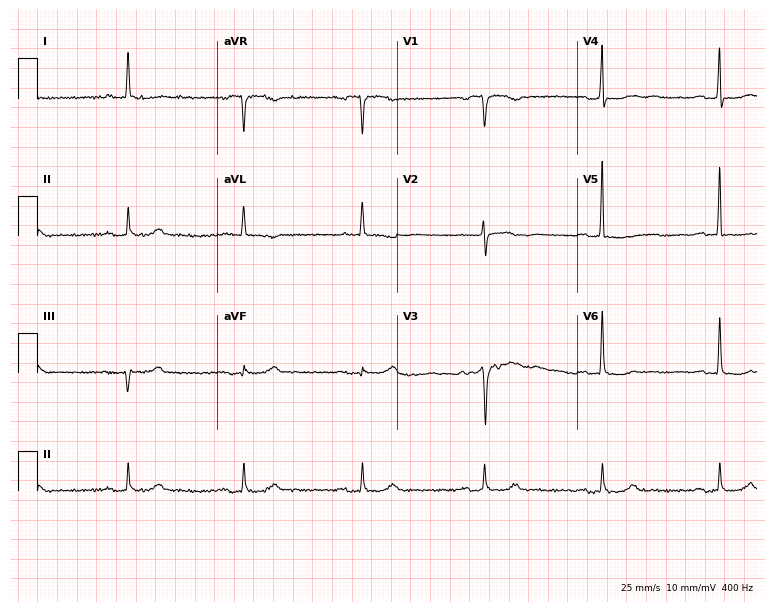
Standard 12-lead ECG recorded from a woman, 77 years old (7.3-second recording at 400 Hz). None of these six findings is recorded: first-degree AV block, right bundle branch block (RBBB), left bundle branch block (LBBB), sinus bradycardia, atrial fibrillation (AF), sinus tachycardia.